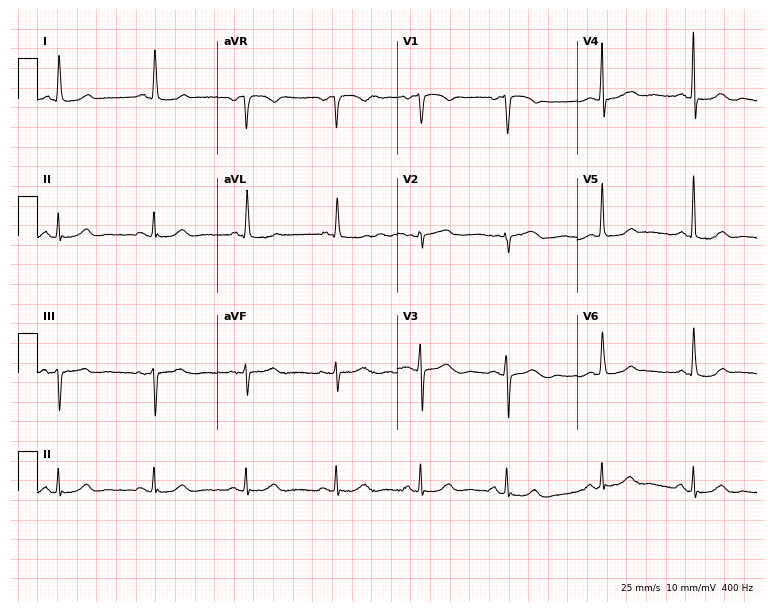
ECG — a 77-year-old woman. Screened for six findings — first-degree AV block, right bundle branch block (RBBB), left bundle branch block (LBBB), sinus bradycardia, atrial fibrillation (AF), sinus tachycardia — none is recorded.